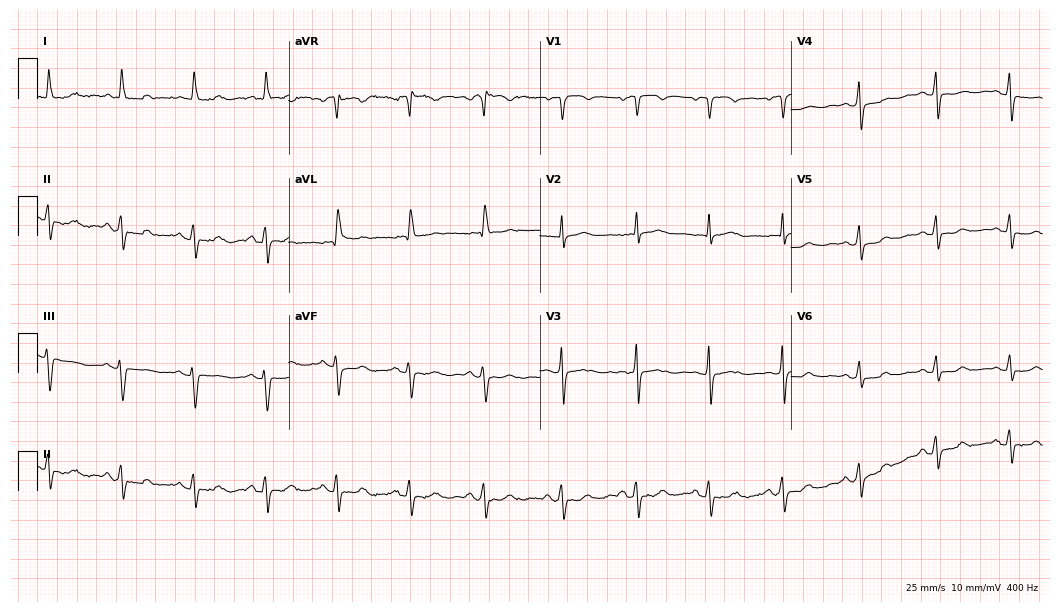
12-lead ECG from a female, 56 years old. Labelled as a normal ECG.